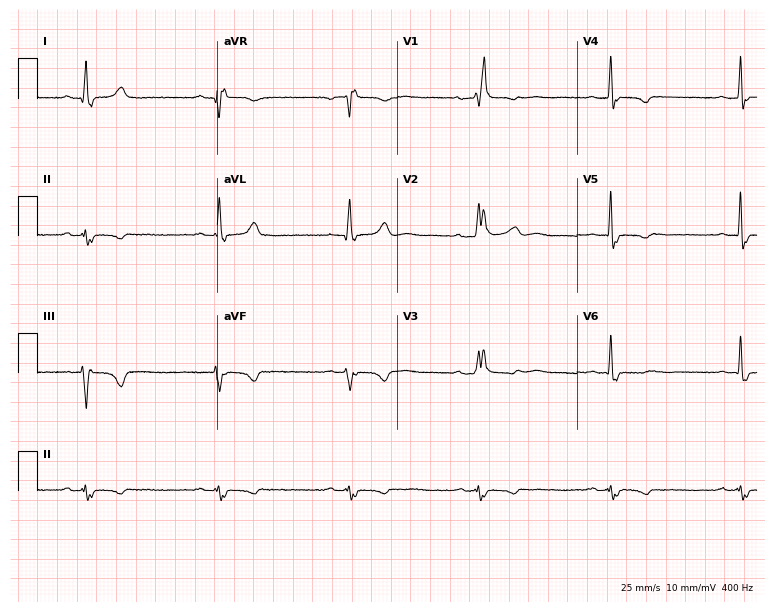
Resting 12-lead electrocardiogram (7.3-second recording at 400 Hz). Patient: a female, 57 years old. The tracing shows right bundle branch block, sinus bradycardia (a sinus rate of 50 beats per minute or less).